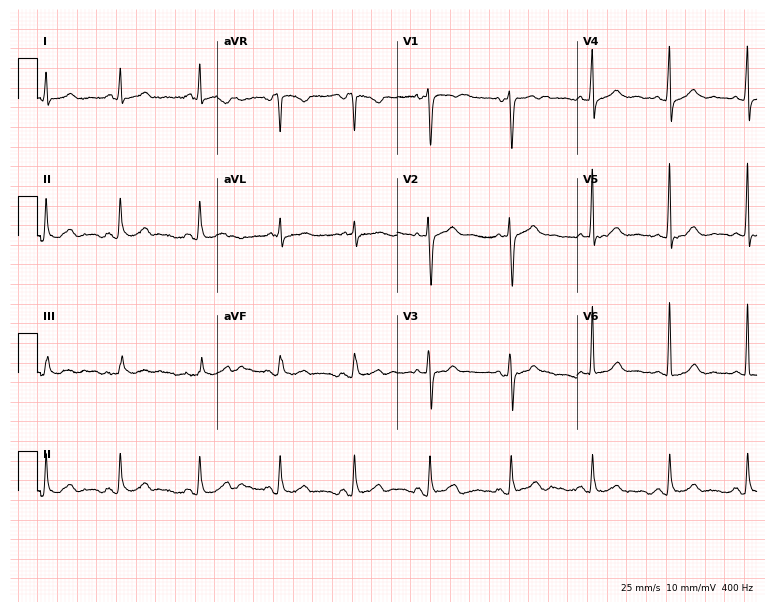
ECG — a female patient, 42 years old. Screened for six findings — first-degree AV block, right bundle branch block, left bundle branch block, sinus bradycardia, atrial fibrillation, sinus tachycardia — none is recorded.